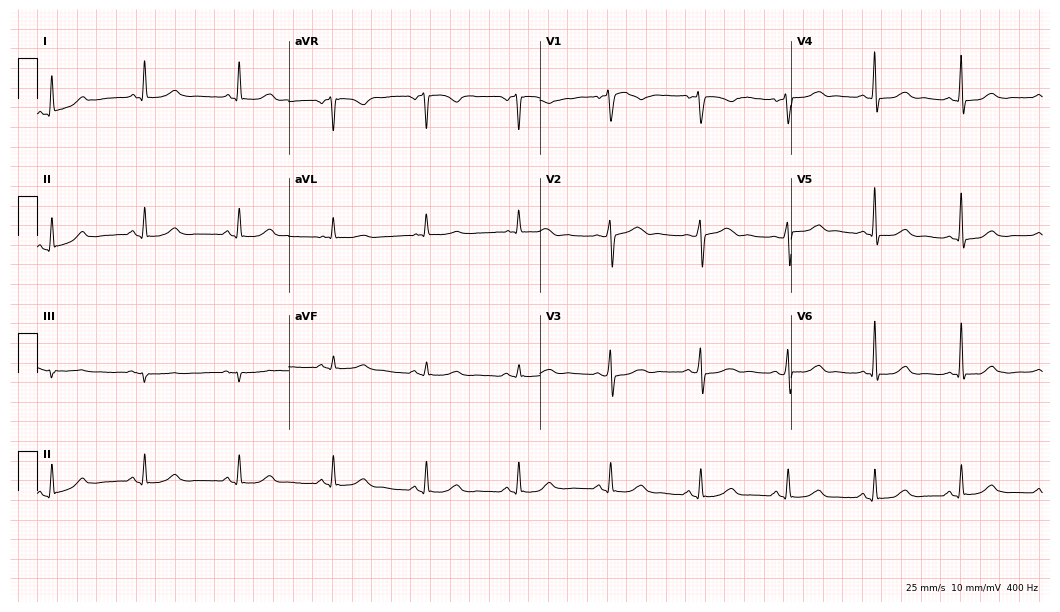
Standard 12-lead ECG recorded from a woman, 67 years old (10.2-second recording at 400 Hz). Read as a normal ECG.